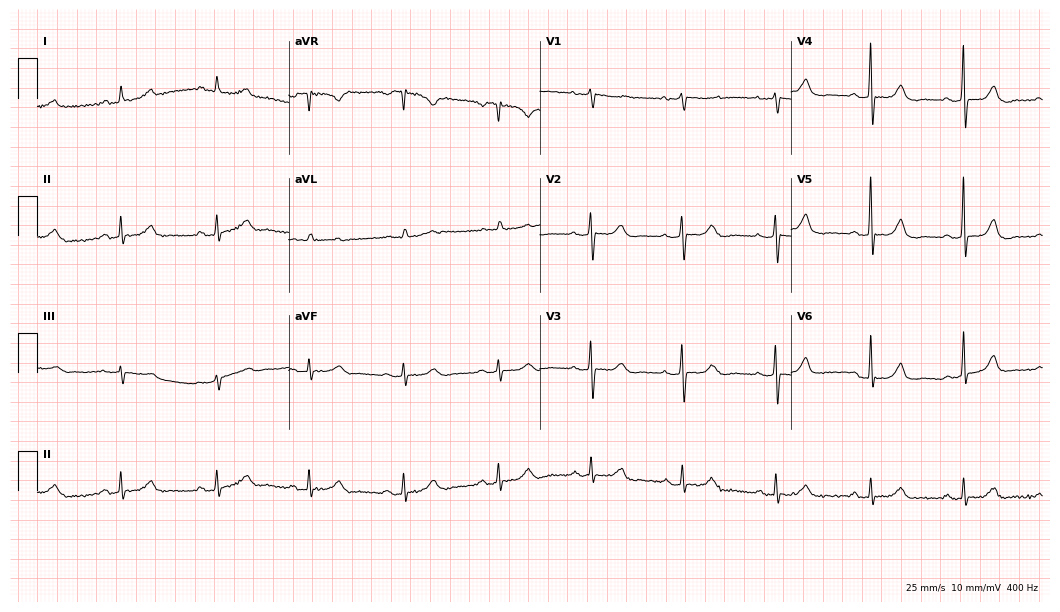
ECG — a 75-year-old female. Screened for six findings — first-degree AV block, right bundle branch block, left bundle branch block, sinus bradycardia, atrial fibrillation, sinus tachycardia — none is recorded.